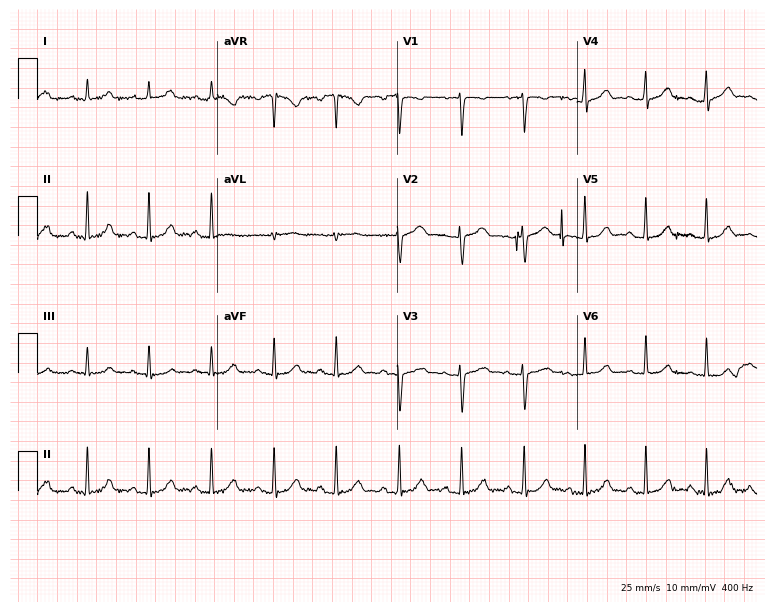
12-lead ECG from a 19-year-old female. Recorded interpretation: within normal limits.